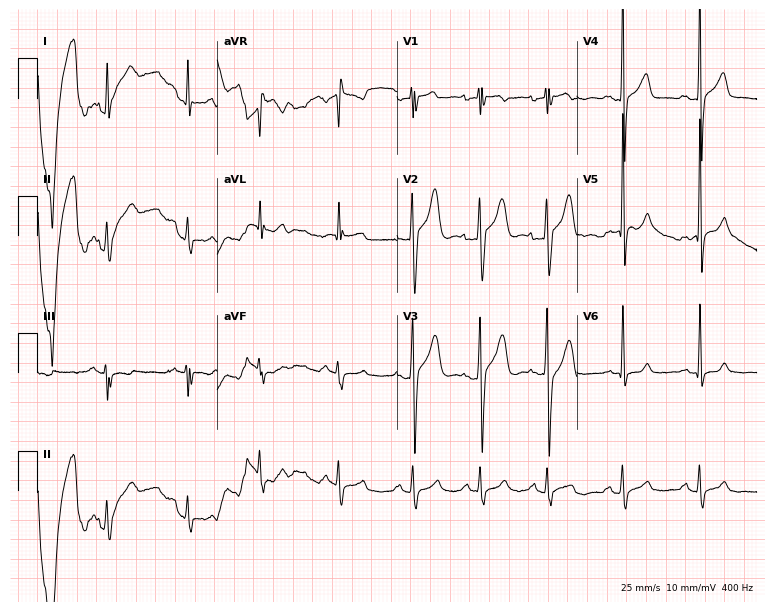
Electrocardiogram (7.3-second recording at 400 Hz), a man, 27 years old. Overall reading on record: normal ECG.